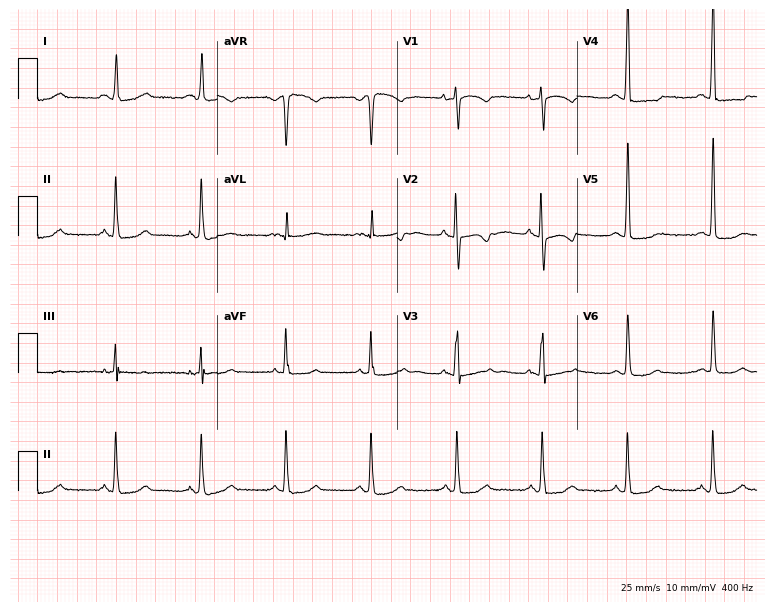
Electrocardiogram, a 39-year-old female patient. Of the six screened findings (first-degree AV block, right bundle branch block, left bundle branch block, sinus bradycardia, atrial fibrillation, sinus tachycardia), none is recorded.